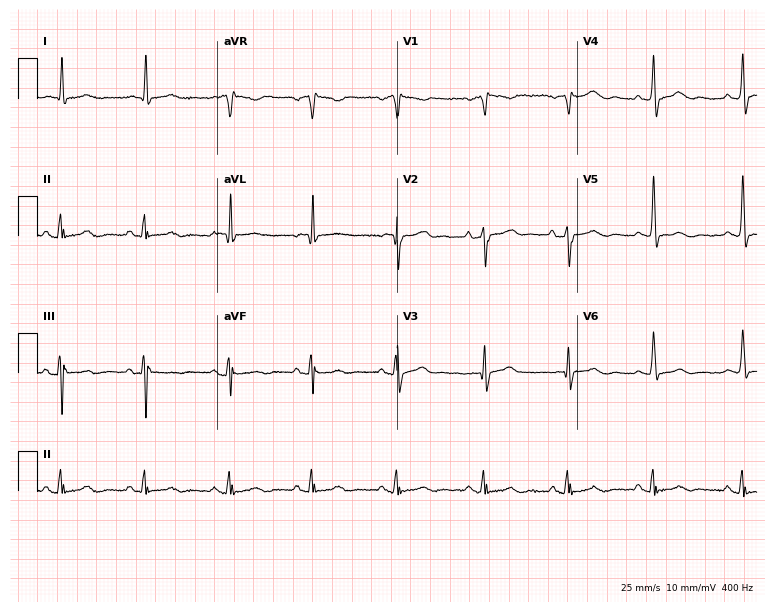
ECG — a 75-year-old male patient. Screened for six findings — first-degree AV block, right bundle branch block (RBBB), left bundle branch block (LBBB), sinus bradycardia, atrial fibrillation (AF), sinus tachycardia — none is recorded.